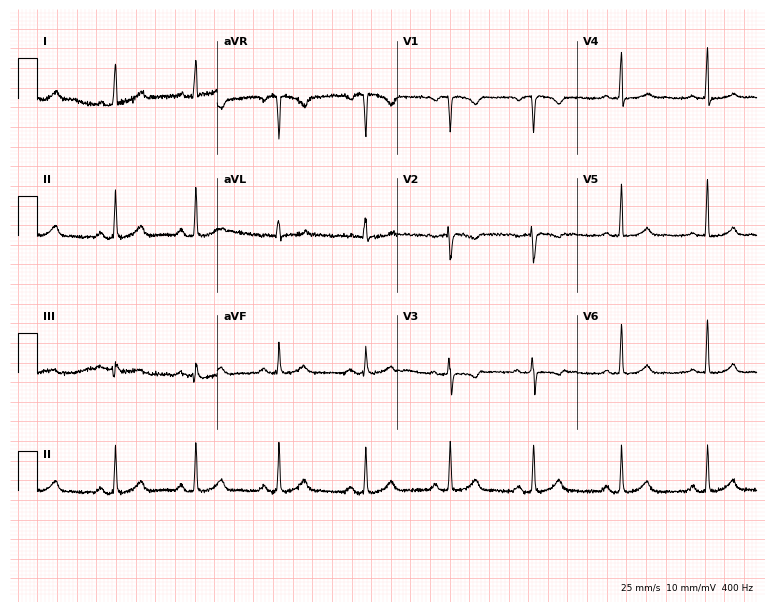
Standard 12-lead ECG recorded from a female patient, 37 years old (7.3-second recording at 400 Hz). Read as a normal ECG.